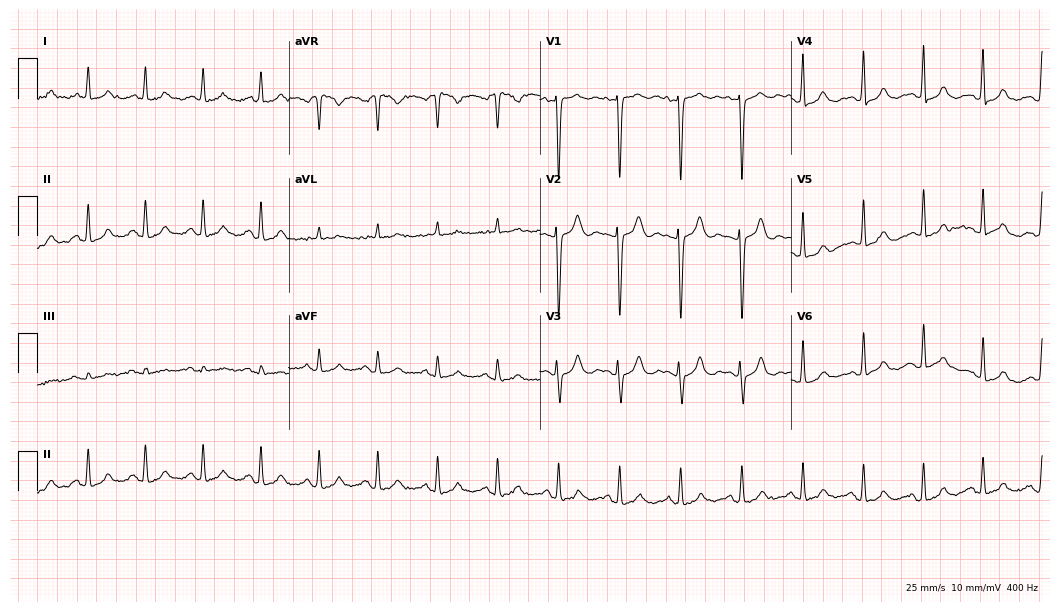
12-lead ECG from a female, 72 years old. No first-degree AV block, right bundle branch block, left bundle branch block, sinus bradycardia, atrial fibrillation or sinus tachycardia recorded for this tracing.